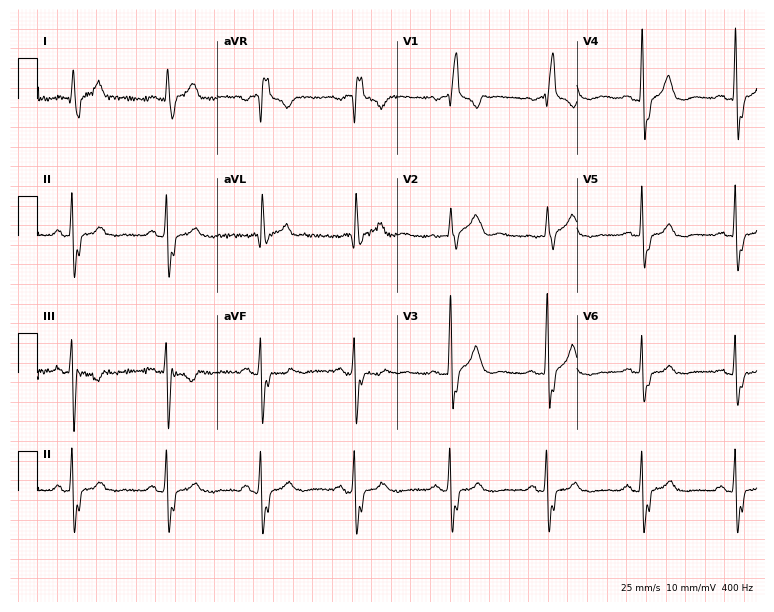
12-lead ECG (7.3-second recording at 400 Hz) from a male patient, 61 years old. Findings include right bundle branch block.